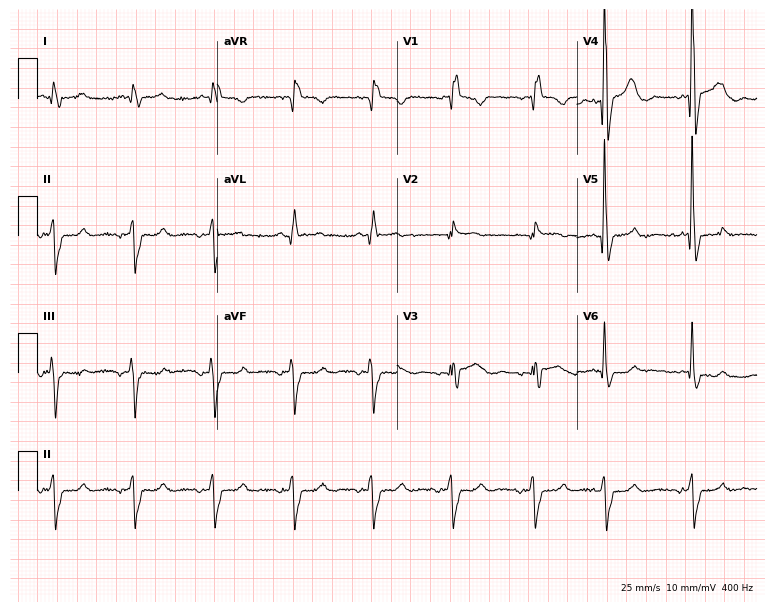
12-lead ECG from a 78-year-old male. Findings include right bundle branch block.